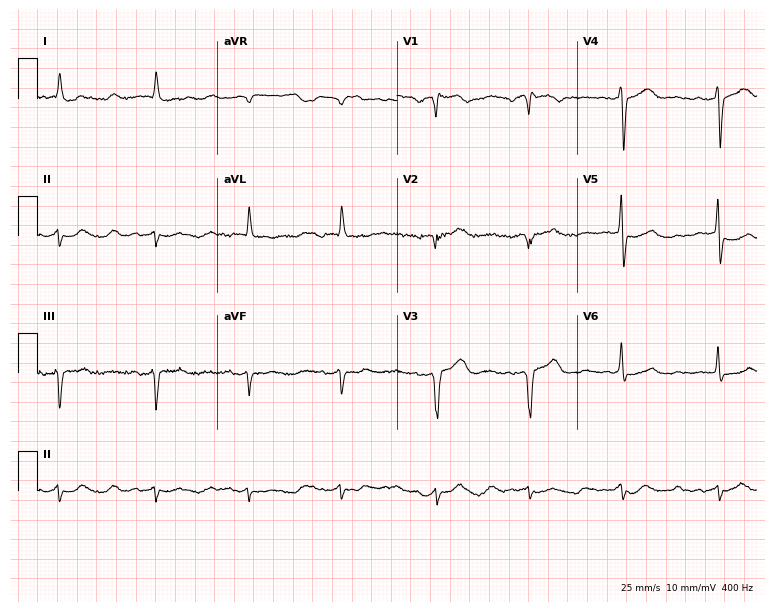
12-lead ECG from an 81-year-old man (7.3-second recording at 400 Hz). No first-degree AV block, right bundle branch block (RBBB), left bundle branch block (LBBB), sinus bradycardia, atrial fibrillation (AF) or sinus tachycardia recorded for this tracing. Findings outside these six are not listed.